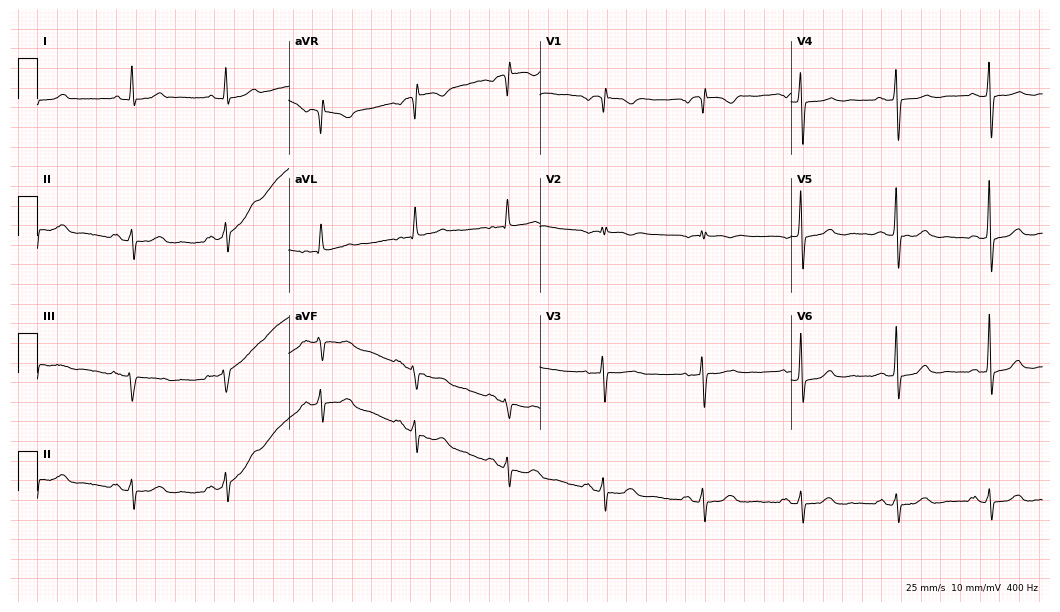
Resting 12-lead electrocardiogram. Patient: a female, 62 years old. None of these six findings is recorded: first-degree AV block, right bundle branch block, left bundle branch block, sinus bradycardia, atrial fibrillation, sinus tachycardia. Findings outside these six are not listed.